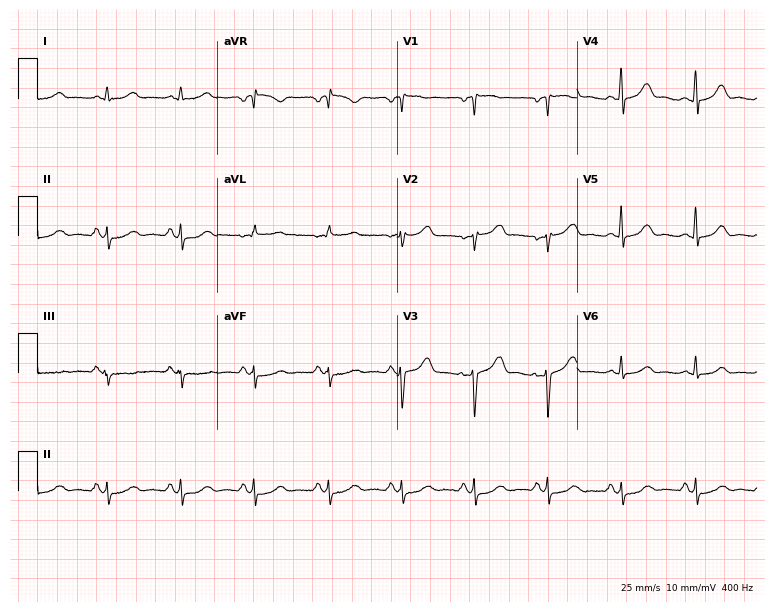
Electrocardiogram, a 65-year-old female. Overall reading on record: normal ECG.